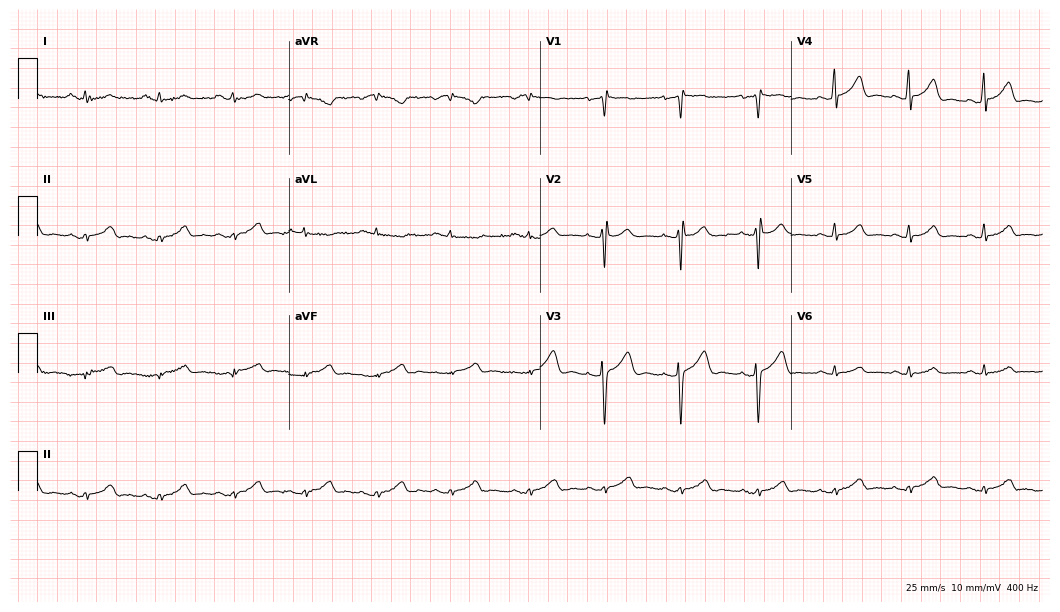
Standard 12-lead ECG recorded from a female patient, 37 years old (10.2-second recording at 400 Hz). None of these six findings is recorded: first-degree AV block, right bundle branch block, left bundle branch block, sinus bradycardia, atrial fibrillation, sinus tachycardia. Only these six findings were labelled.